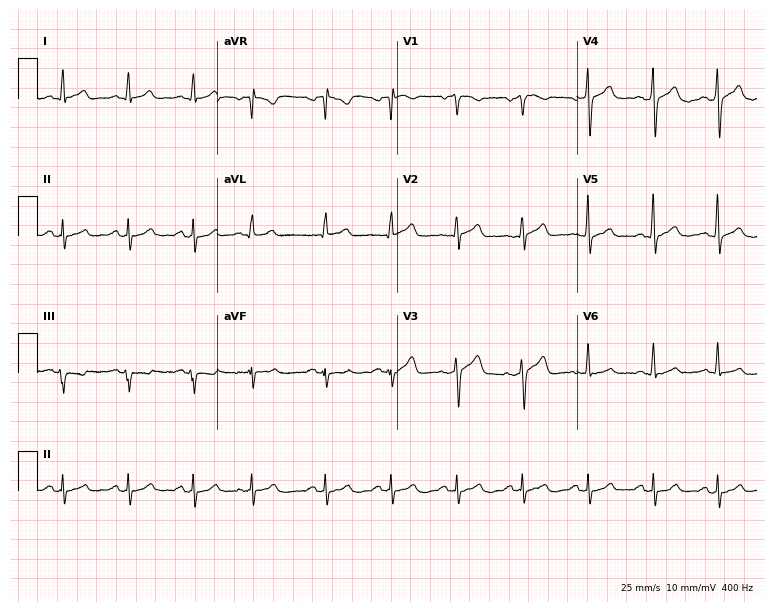
Resting 12-lead electrocardiogram. Patient: a male, 60 years old. Read as a normal ECG.